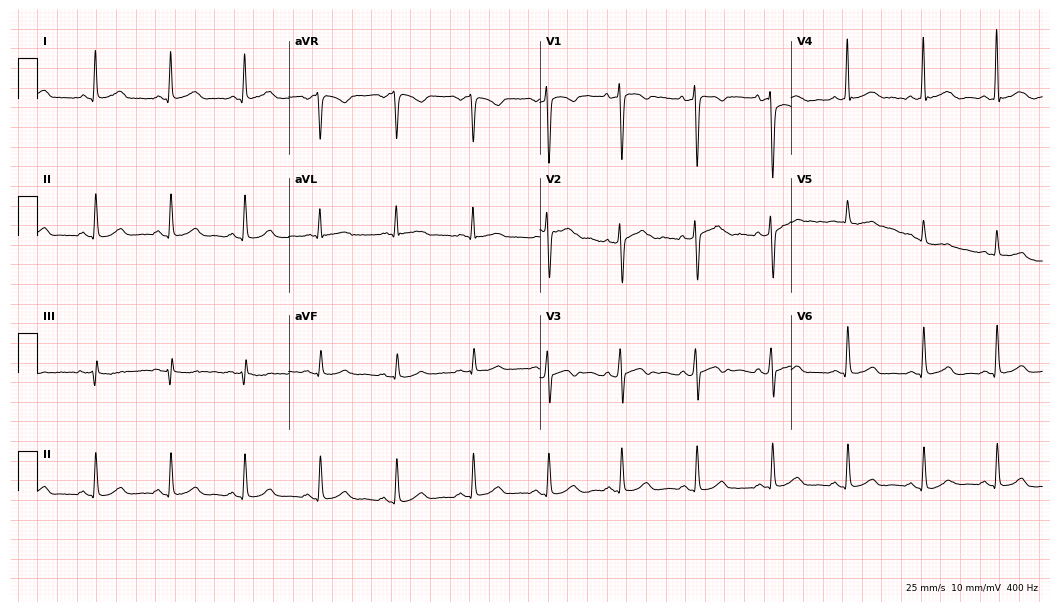
Electrocardiogram, a female patient, 35 years old. Overall reading on record: normal ECG.